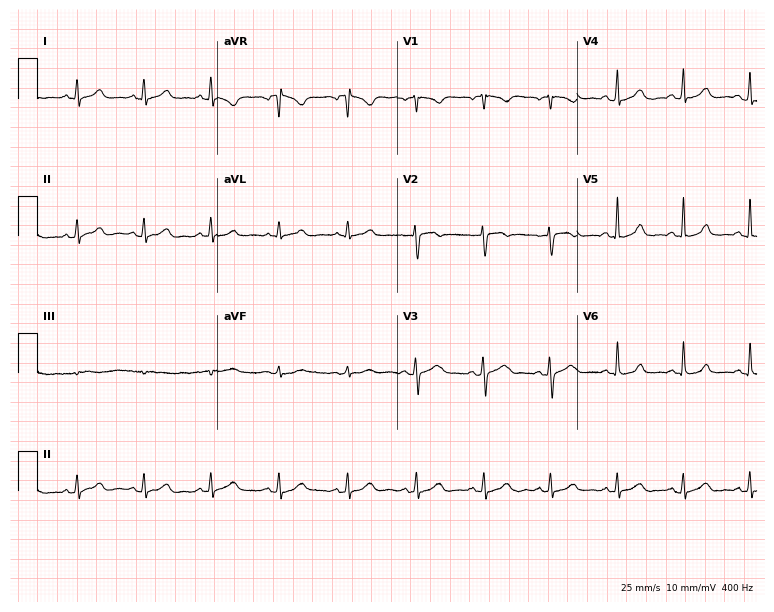
Resting 12-lead electrocardiogram. Patient: a female, 49 years old. None of these six findings is recorded: first-degree AV block, right bundle branch block (RBBB), left bundle branch block (LBBB), sinus bradycardia, atrial fibrillation (AF), sinus tachycardia. Only these six findings were labelled.